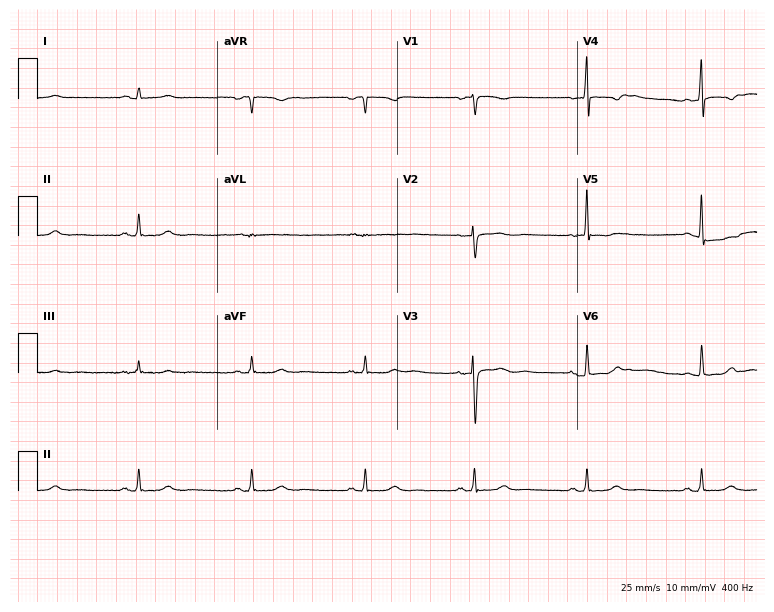
ECG — a 40-year-old female. Screened for six findings — first-degree AV block, right bundle branch block, left bundle branch block, sinus bradycardia, atrial fibrillation, sinus tachycardia — none is recorded.